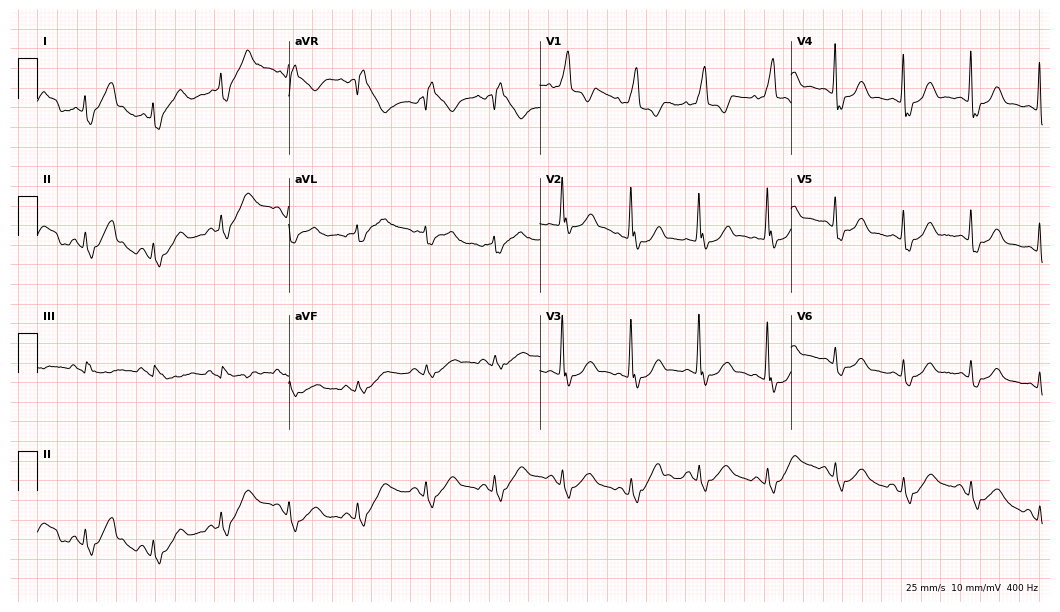
12-lead ECG from a 71-year-old female patient. Findings include right bundle branch block.